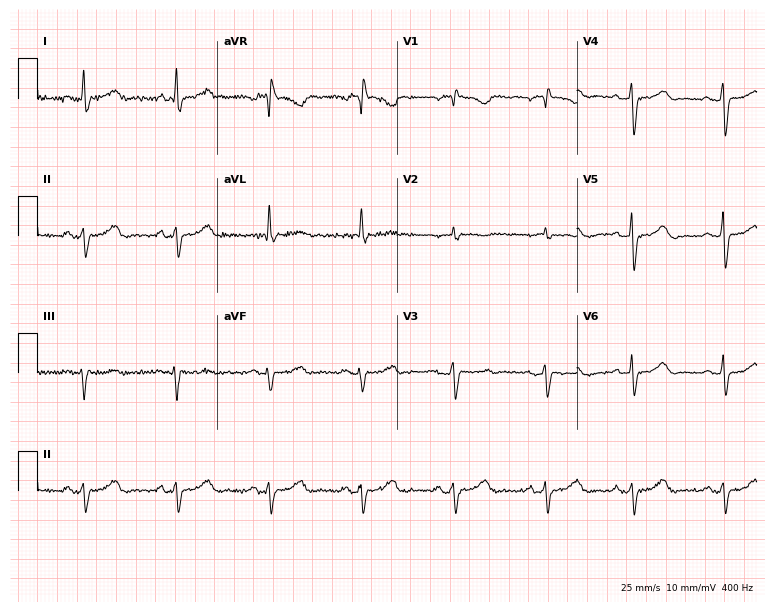
ECG — a 58-year-old woman. Screened for six findings — first-degree AV block, right bundle branch block, left bundle branch block, sinus bradycardia, atrial fibrillation, sinus tachycardia — none is recorded. Findings outside these six are not listed.